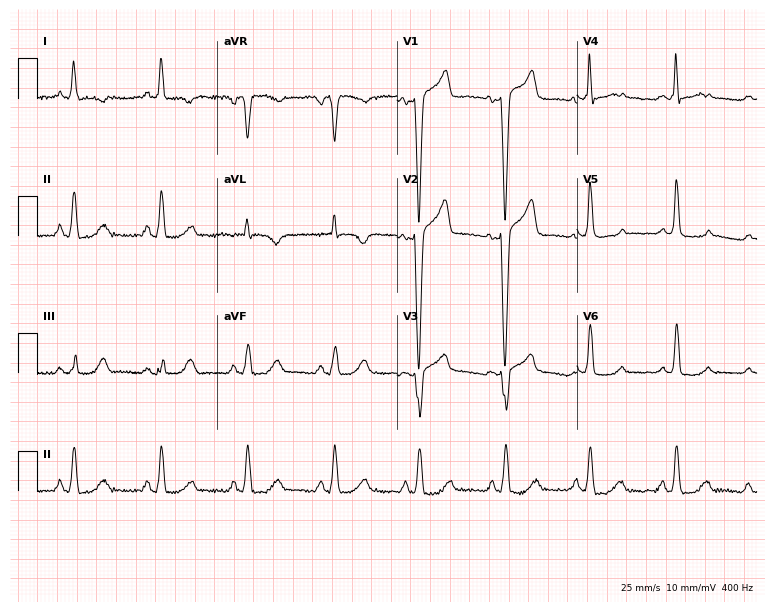
12-lead ECG from a 59-year-old female patient. No first-degree AV block, right bundle branch block, left bundle branch block, sinus bradycardia, atrial fibrillation or sinus tachycardia recorded for this tracing.